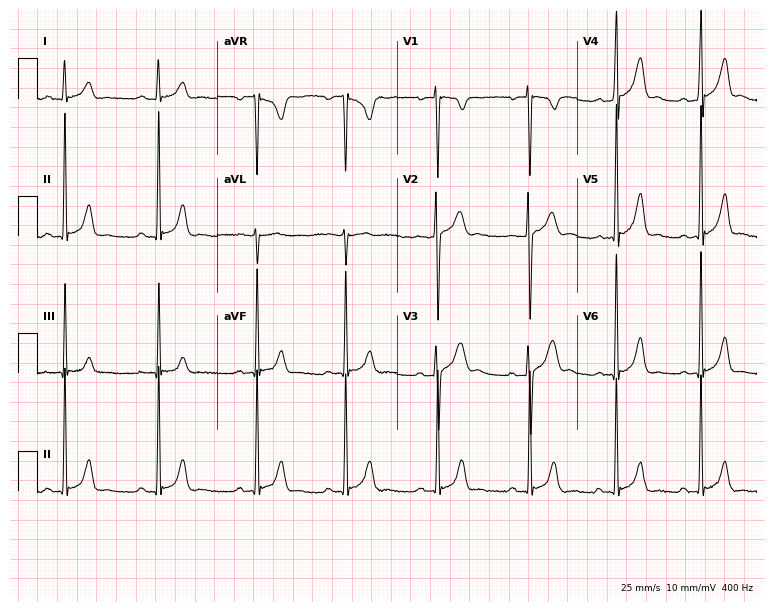
Standard 12-lead ECG recorded from a man, 21 years old. Read as a normal ECG.